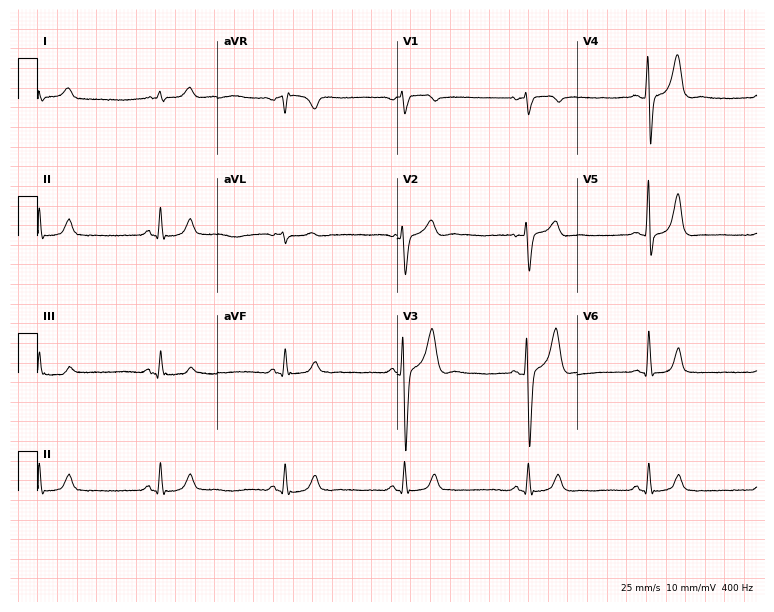
Standard 12-lead ECG recorded from a 62-year-old man (7.3-second recording at 400 Hz). The tracing shows sinus bradycardia (a sinus rate of 50 beats per minute or less).